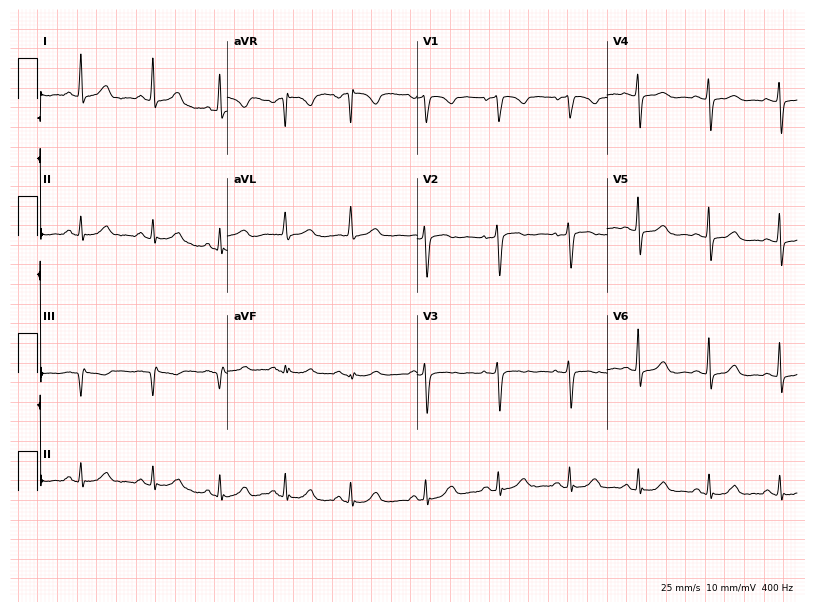
Resting 12-lead electrocardiogram. Patient: a woman, 62 years old. None of these six findings is recorded: first-degree AV block, right bundle branch block, left bundle branch block, sinus bradycardia, atrial fibrillation, sinus tachycardia. Only these six findings were labelled.